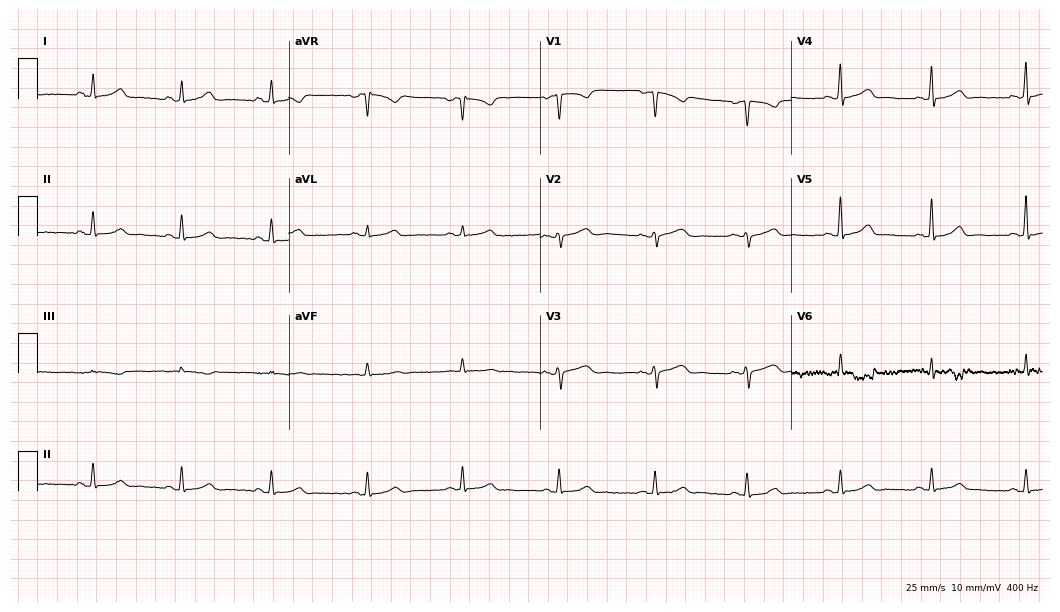
Electrocardiogram, a female, 34 years old. Overall reading on record: normal ECG.